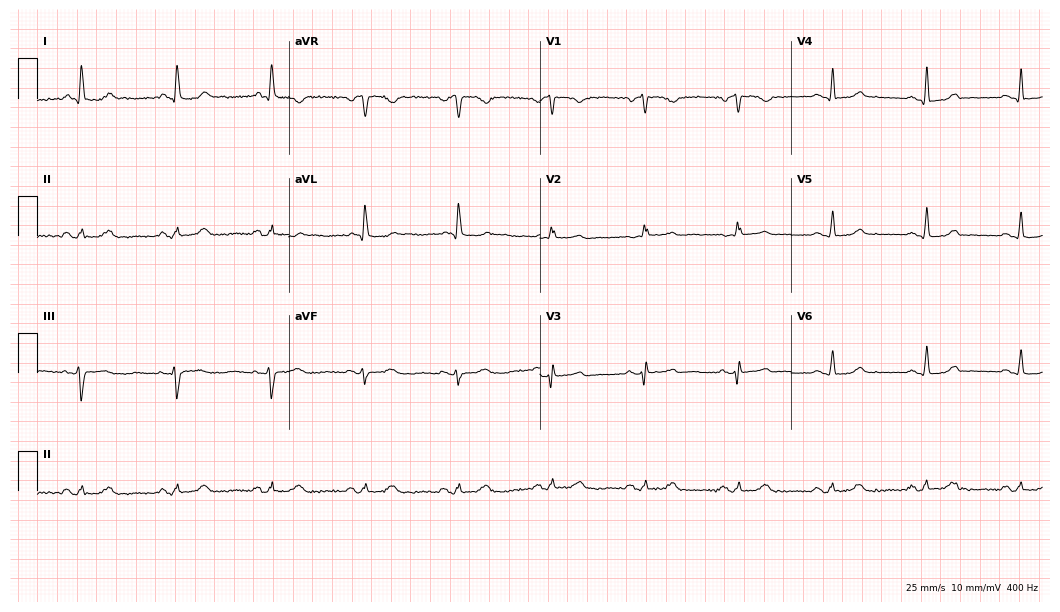
Electrocardiogram, an 83-year-old female. Overall reading on record: normal ECG.